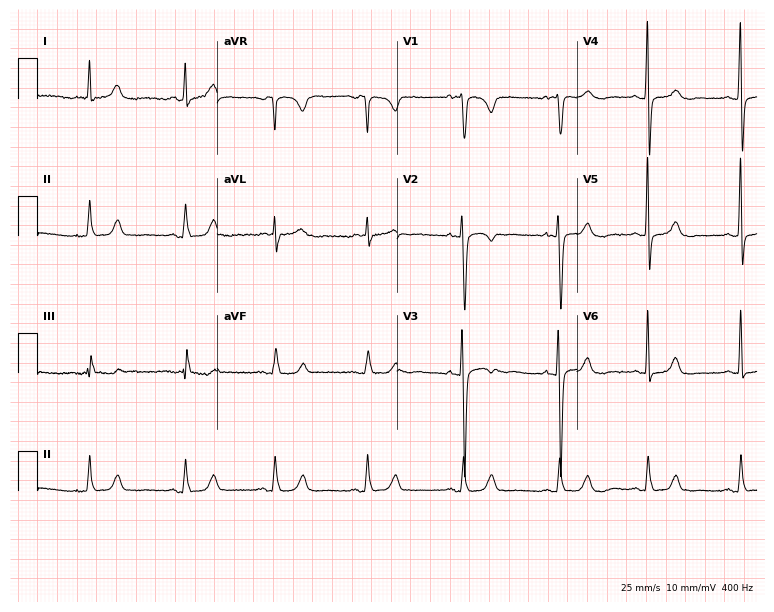
ECG — a 34-year-old female. Labelled as a normal ECG.